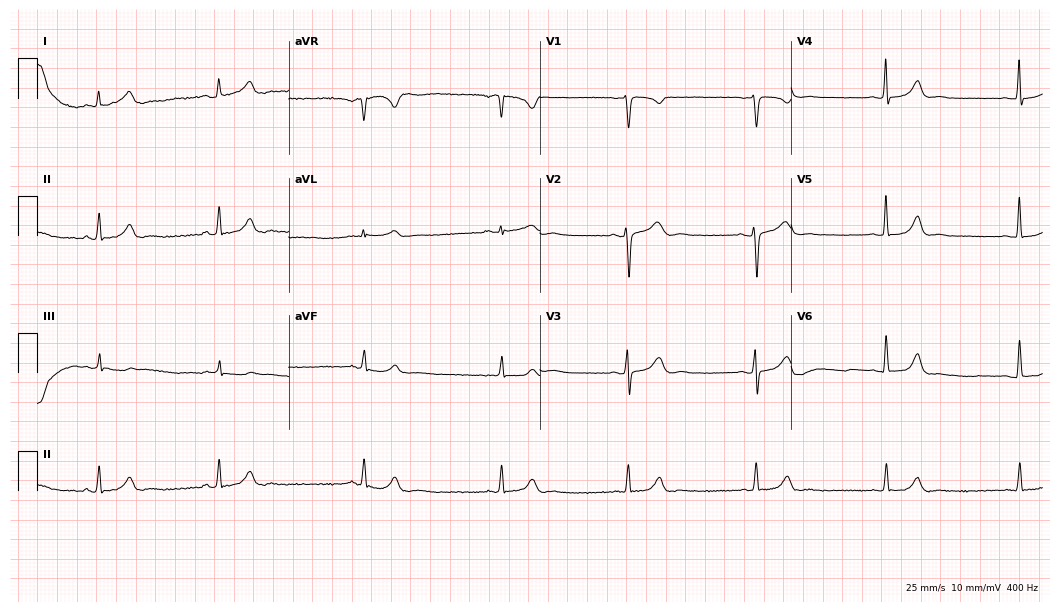
Resting 12-lead electrocardiogram. Patient: a 38-year-old woman. None of these six findings is recorded: first-degree AV block, right bundle branch block (RBBB), left bundle branch block (LBBB), sinus bradycardia, atrial fibrillation (AF), sinus tachycardia. Only these six findings were labelled.